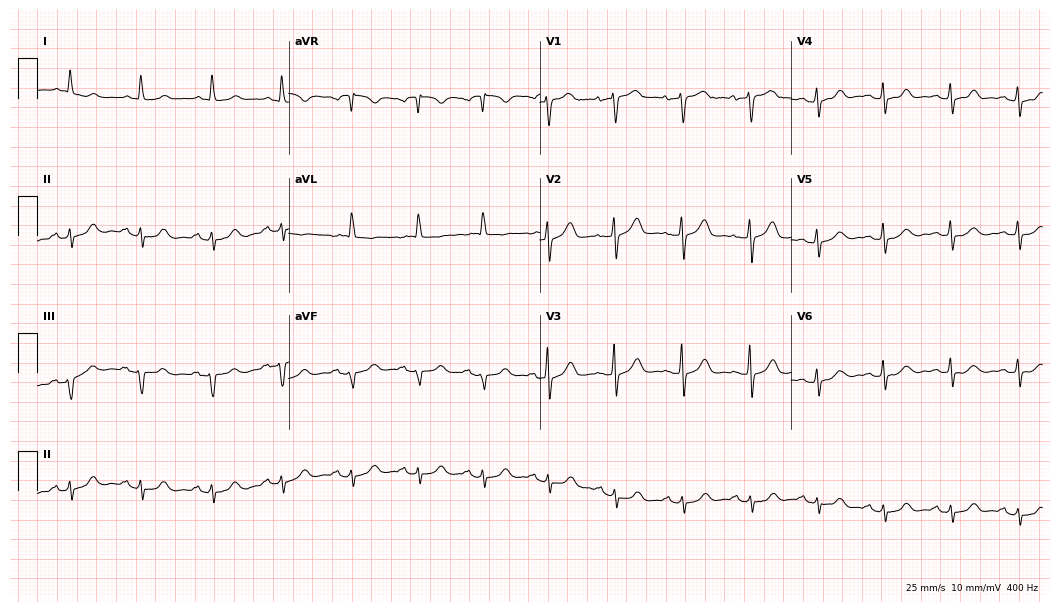
Electrocardiogram (10.2-second recording at 400 Hz), a woman, 69 years old. Overall reading on record: normal ECG.